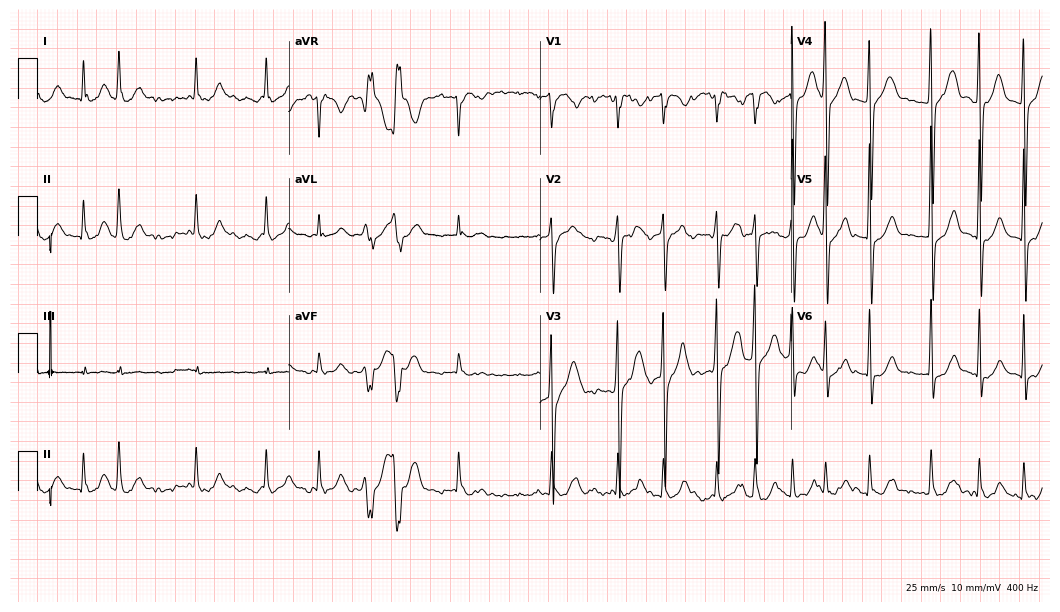
12-lead ECG (10.2-second recording at 400 Hz) from a 73-year-old male patient. Findings include atrial fibrillation (AF), sinus tachycardia (a sinus rate of 100 beats per minute or more).